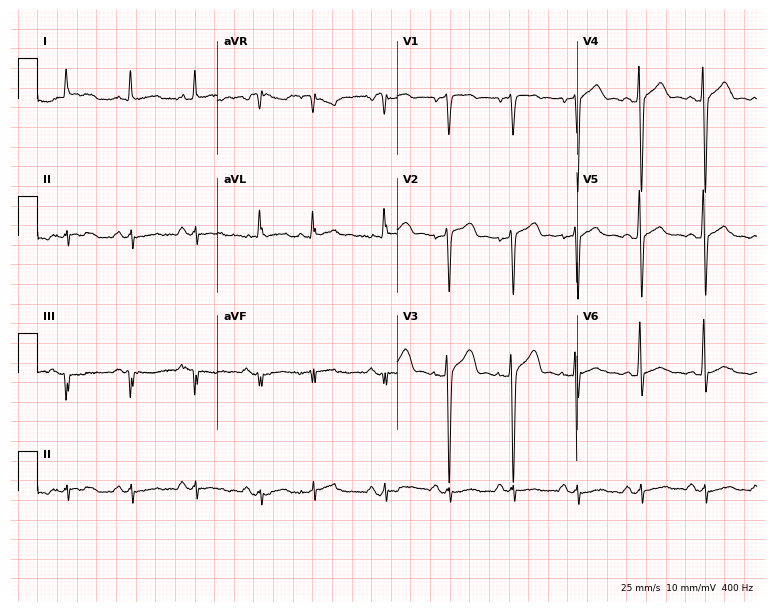
Standard 12-lead ECG recorded from a 41-year-old man (7.3-second recording at 400 Hz). None of these six findings is recorded: first-degree AV block, right bundle branch block, left bundle branch block, sinus bradycardia, atrial fibrillation, sinus tachycardia.